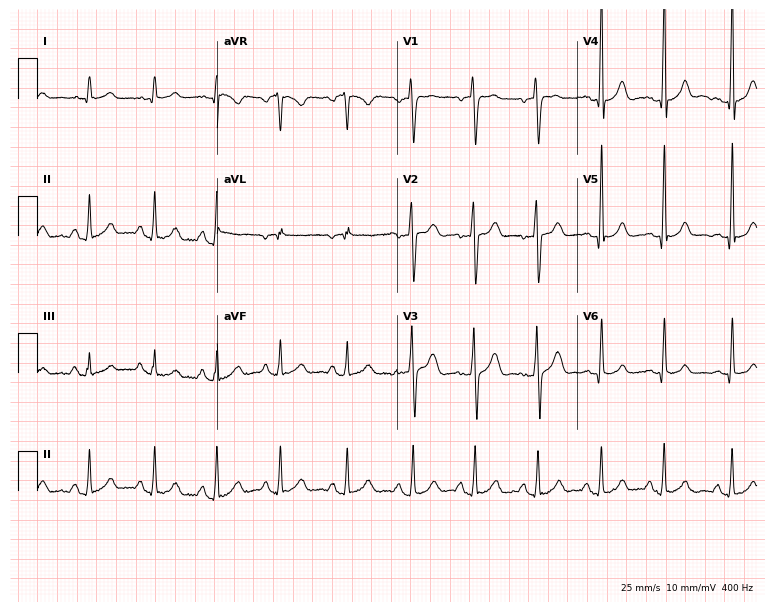
Standard 12-lead ECG recorded from a male, 19 years old (7.3-second recording at 400 Hz). None of these six findings is recorded: first-degree AV block, right bundle branch block (RBBB), left bundle branch block (LBBB), sinus bradycardia, atrial fibrillation (AF), sinus tachycardia. Other findings, if any, are not listed.